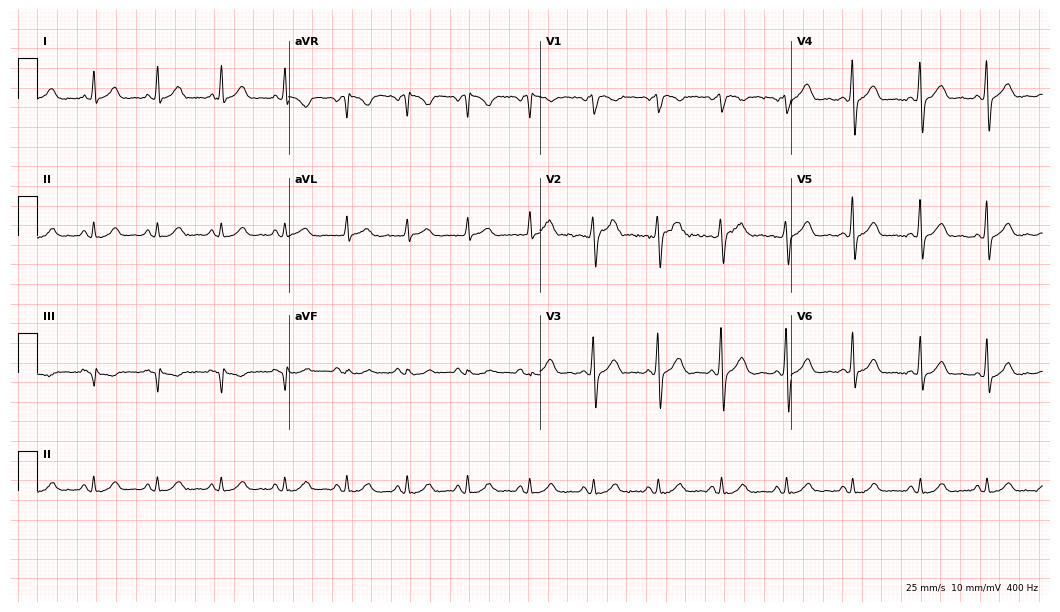
ECG (10.2-second recording at 400 Hz) — a 29-year-old male. Labelled as a normal ECG.